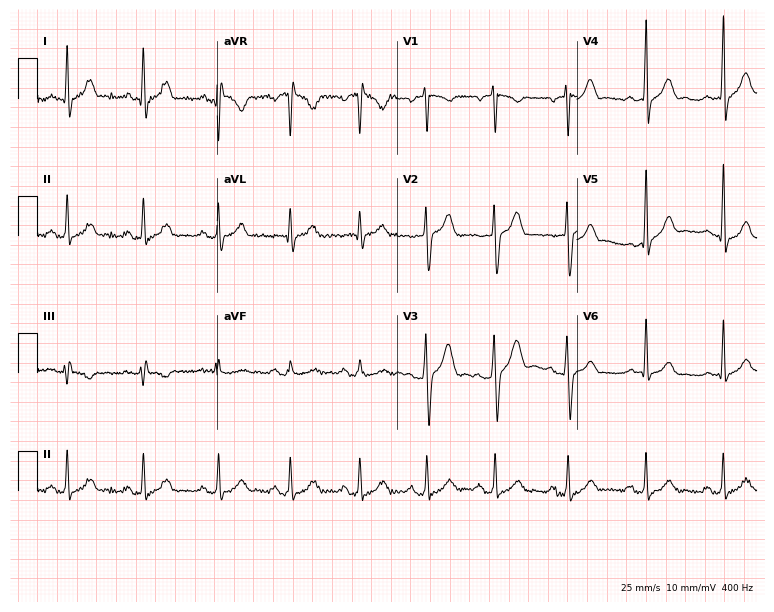
ECG — a 27-year-old man. Labelled as a normal ECG.